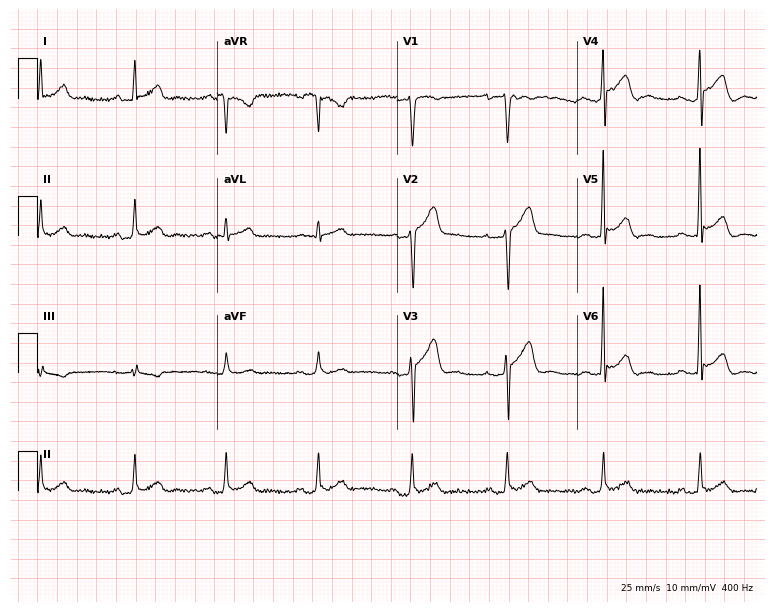
12-lead ECG from a 39-year-old male. No first-degree AV block, right bundle branch block, left bundle branch block, sinus bradycardia, atrial fibrillation or sinus tachycardia recorded for this tracing.